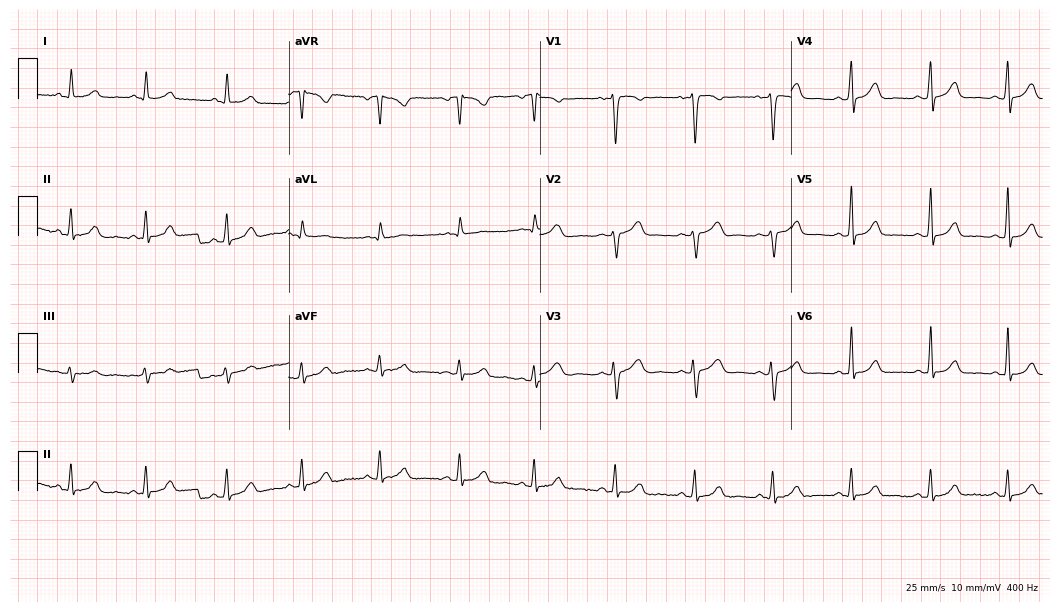
ECG (10.2-second recording at 400 Hz) — a woman, 50 years old. Labelled as a normal ECG.